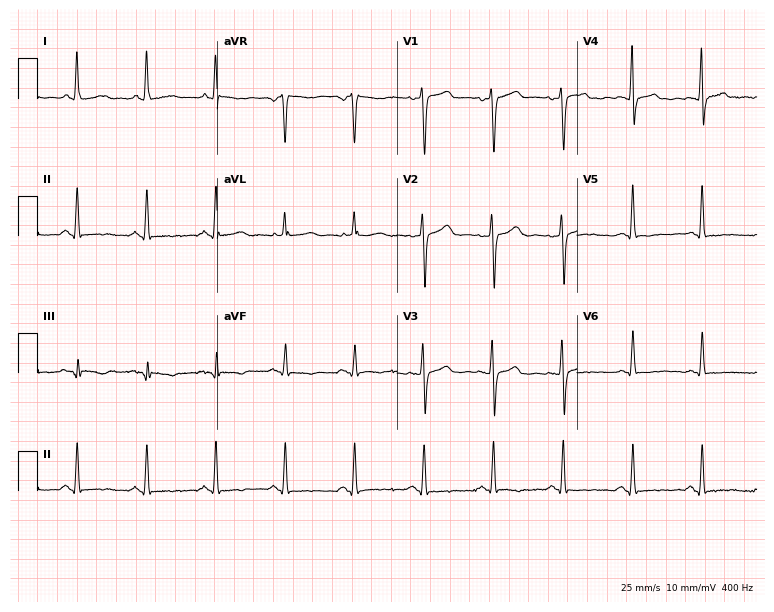
Standard 12-lead ECG recorded from a 71-year-old woman (7.3-second recording at 400 Hz). None of these six findings is recorded: first-degree AV block, right bundle branch block (RBBB), left bundle branch block (LBBB), sinus bradycardia, atrial fibrillation (AF), sinus tachycardia. Other findings, if any, are not listed.